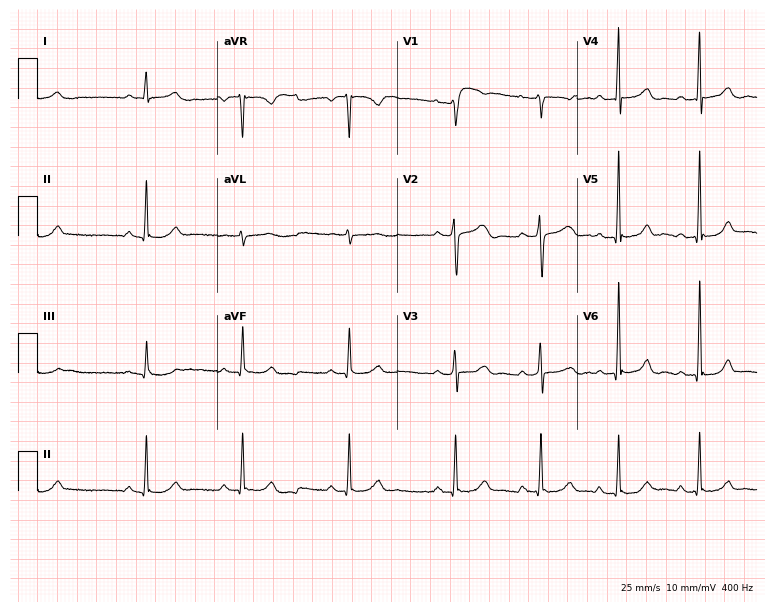
Electrocardiogram, a 25-year-old woman. Overall reading on record: normal ECG.